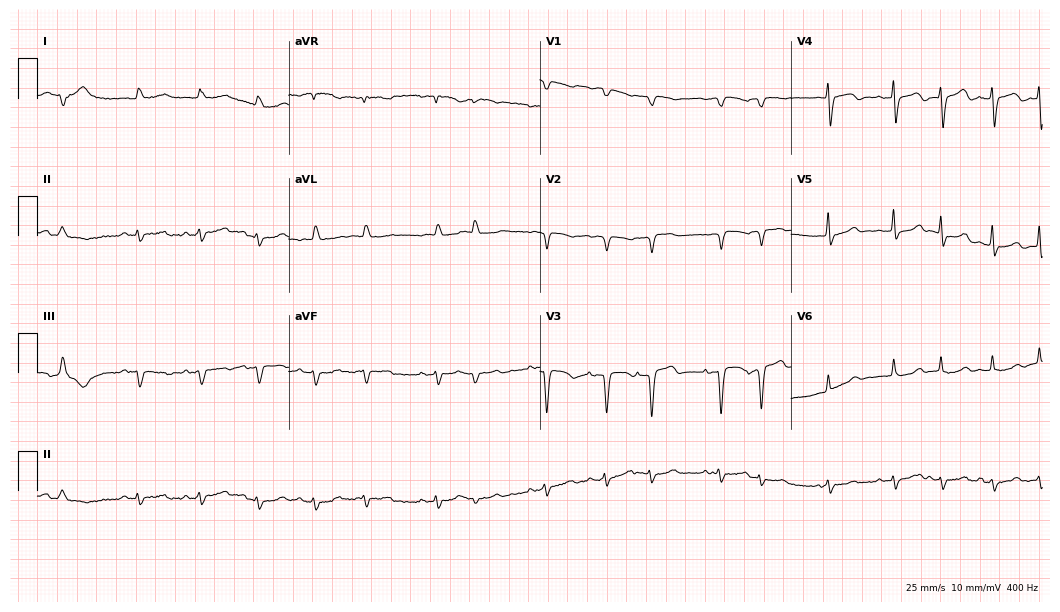
Standard 12-lead ECG recorded from a female patient, 83 years old. None of these six findings is recorded: first-degree AV block, right bundle branch block, left bundle branch block, sinus bradycardia, atrial fibrillation, sinus tachycardia. Only these six findings were labelled.